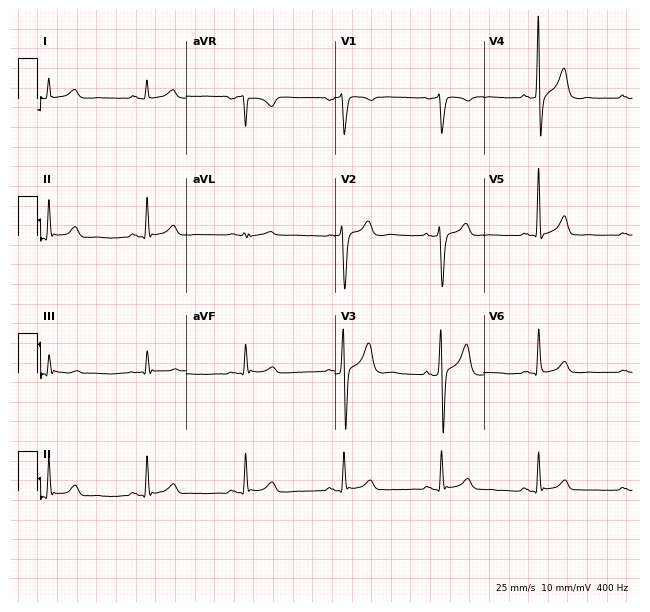
12-lead ECG from a male patient, 40 years old. No first-degree AV block, right bundle branch block (RBBB), left bundle branch block (LBBB), sinus bradycardia, atrial fibrillation (AF) or sinus tachycardia recorded for this tracing.